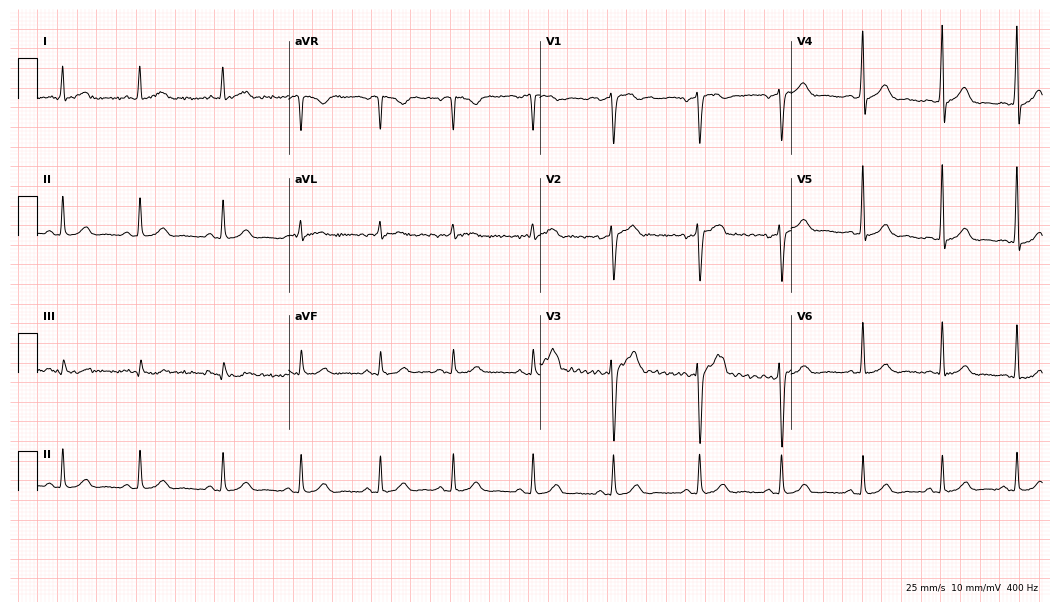
12-lead ECG from a man, 42 years old. Labelled as a normal ECG.